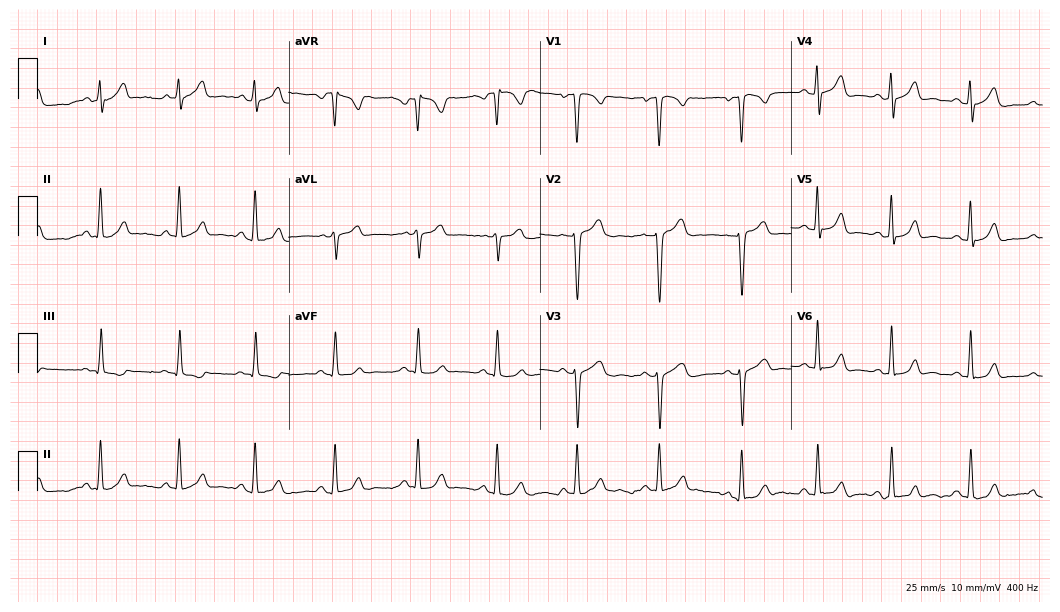
Electrocardiogram, a woman, 21 years old. Overall reading on record: normal ECG.